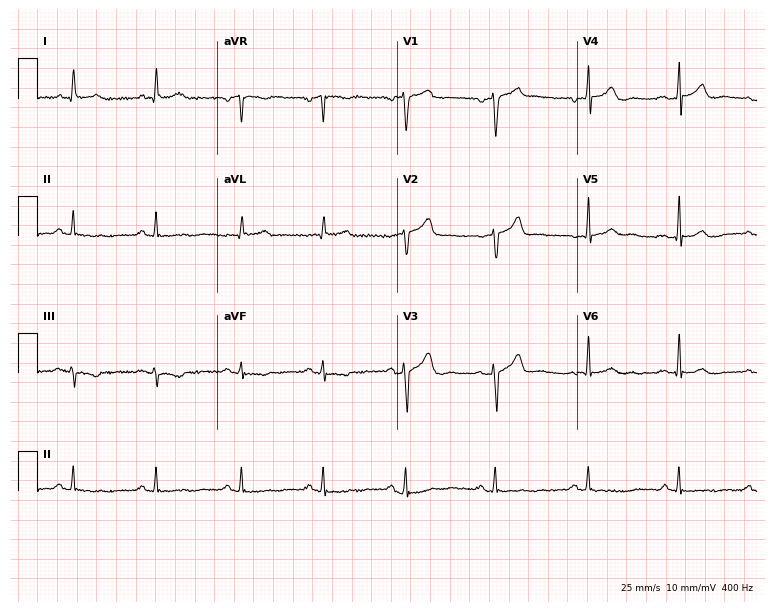
Electrocardiogram, a 52-year-old male patient. Overall reading on record: normal ECG.